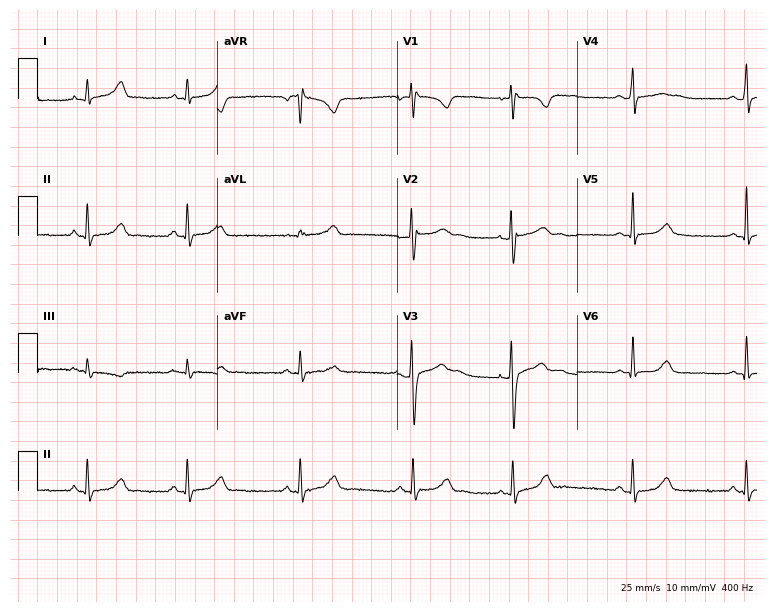
ECG — a 23-year-old female patient. Screened for six findings — first-degree AV block, right bundle branch block, left bundle branch block, sinus bradycardia, atrial fibrillation, sinus tachycardia — none is recorded.